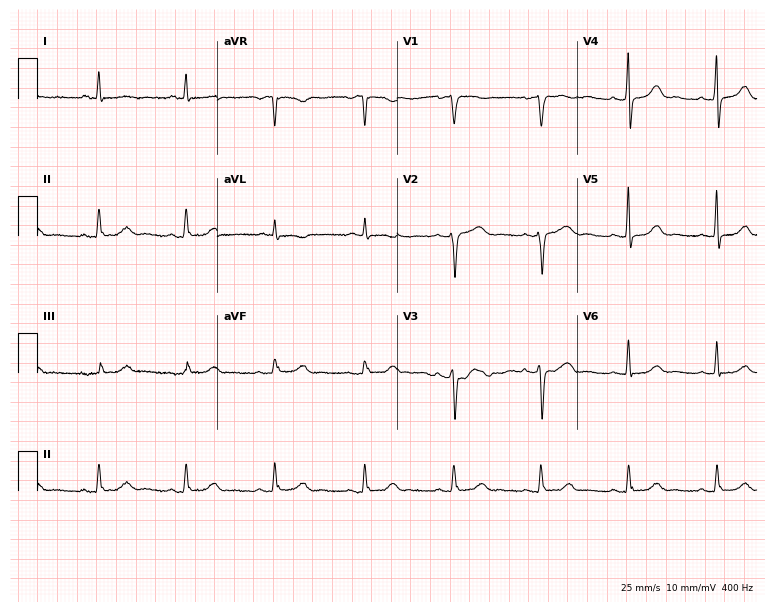
12-lead ECG from a 47-year-old female (7.3-second recording at 400 Hz). No first-degree AV block, right bundle branch block, left bundle branch block, sinus bradycardia, atrial fibrillation or sinus tachycardia recorded for this tracing. Findings outside these six are not listed.